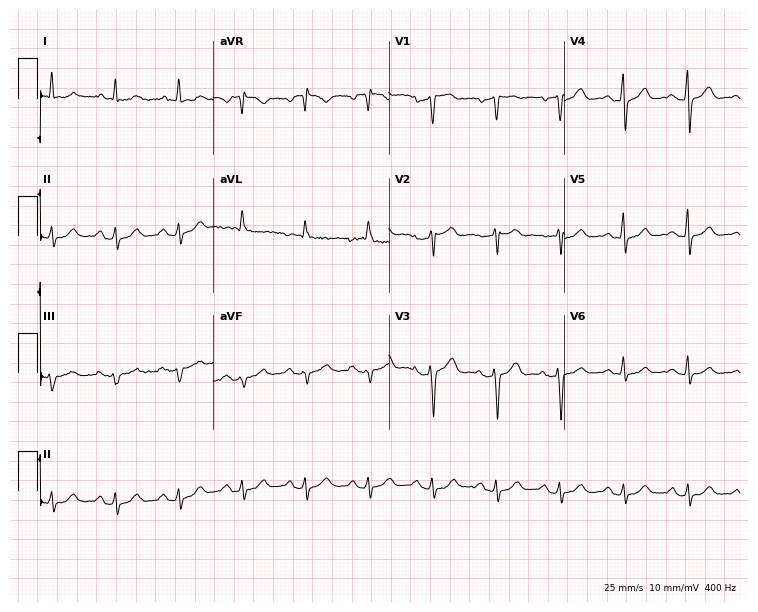
ECG (7.2-second recording at 400 Hz) — a female patient, 53 years old. Labelled as a normal ECG.